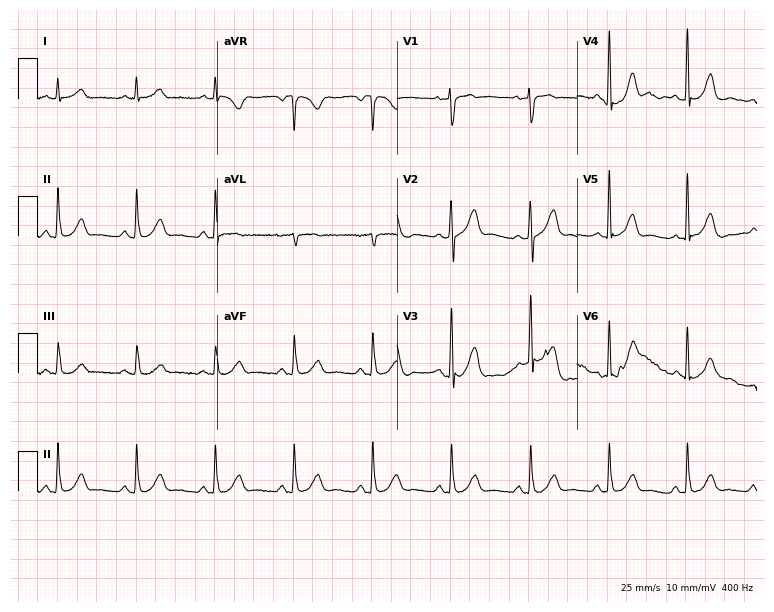
Standard 12-lead ECG recorded from a male, 62 years old. Read as a normal ECG.